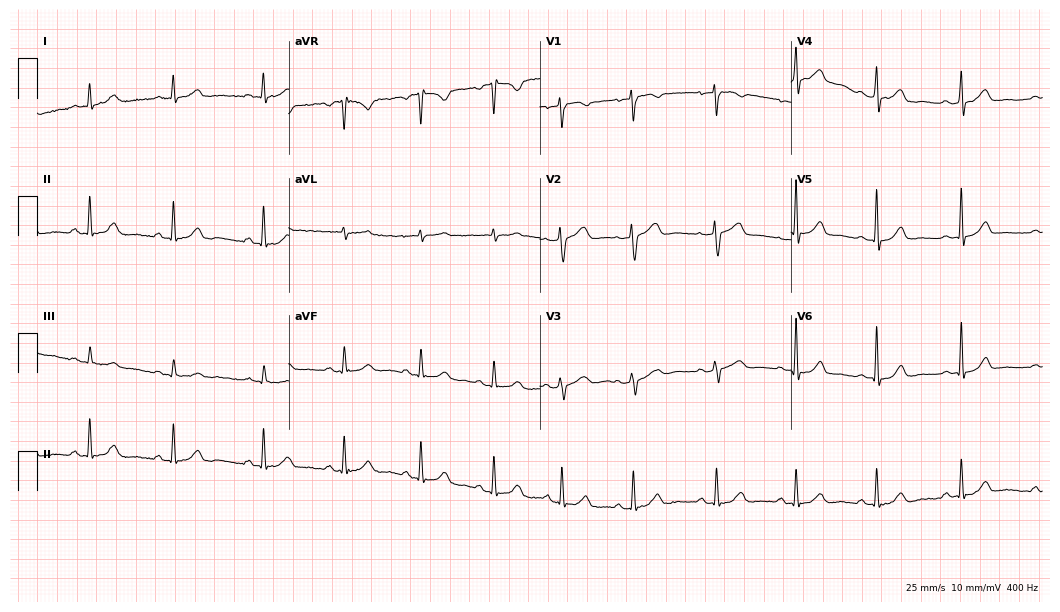
Electrocardiogram (10.2-second recording at 400 Hz), a 43-year-old woman. Overall reading on record: normal ECG.